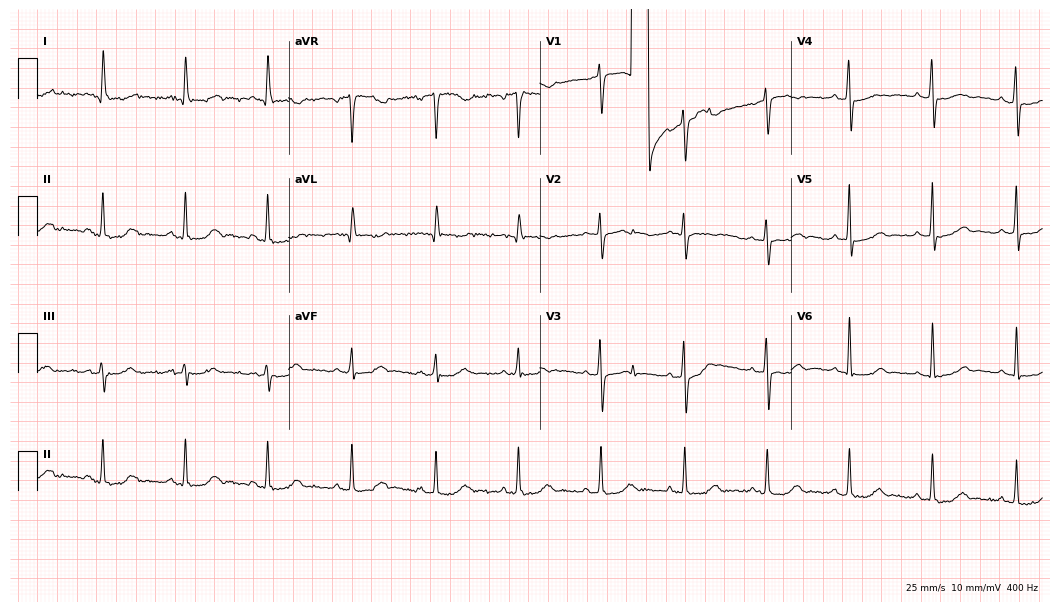
Resting 12-lead electrocardiogram. Patient: a 68-year-old female. Read as a normal ECG.